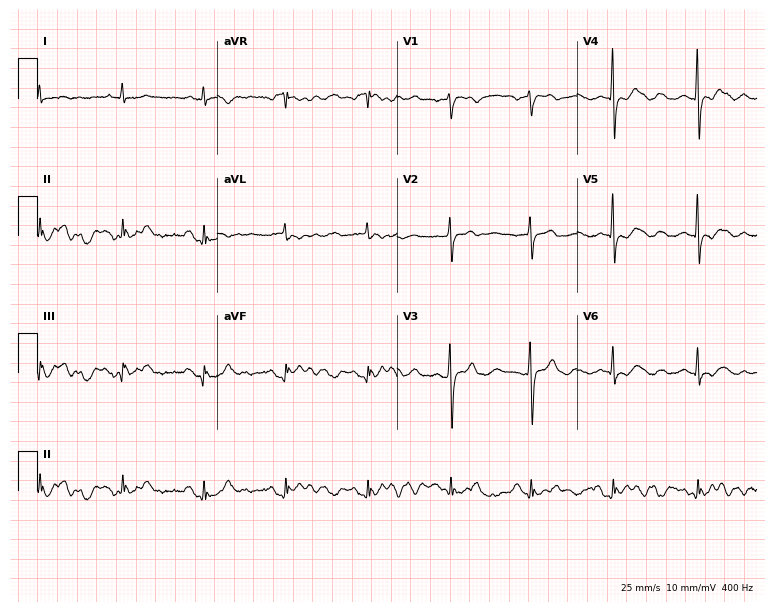
ECG (7.3-second recording at 400 Hz) — a 68-year-old female. Screened for six findings — first-degree AV block, right bundle branch block, left bundle branch block, sinus bradycardia, atrial fibrillation, sinus tachycardia — none is recorded. Other findings, if any, are not listed.